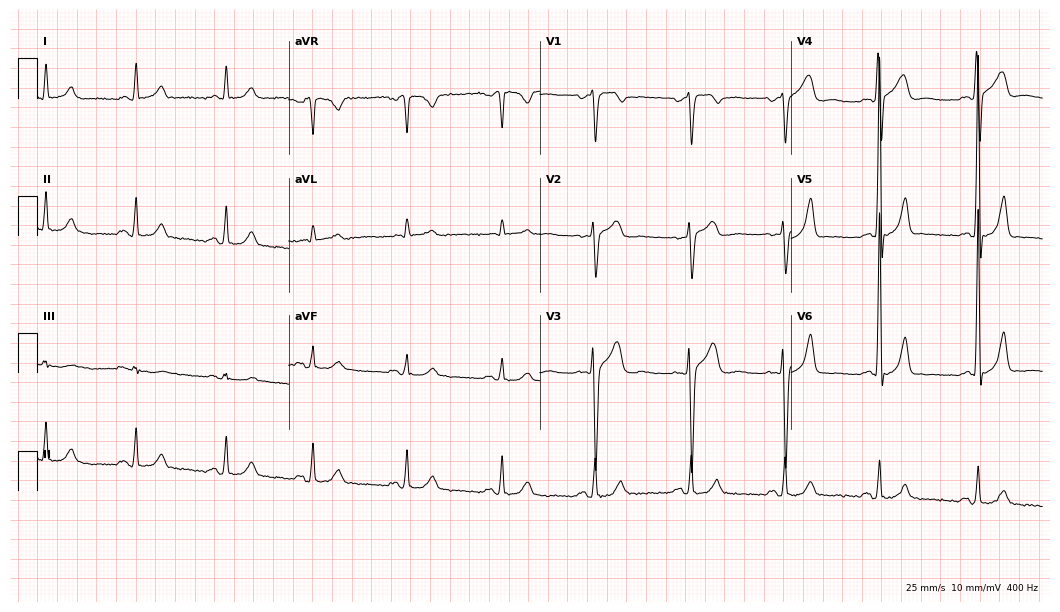
Standard 12-lead ECG recorded from a 62-year-old man. None of these six findings is recorded: first-degree AV block, right bundle branch block (RBBB), left bundle branch block (LBBB), sinus bradycardia, atrial fibrillation (AF), sinus tachycardia.